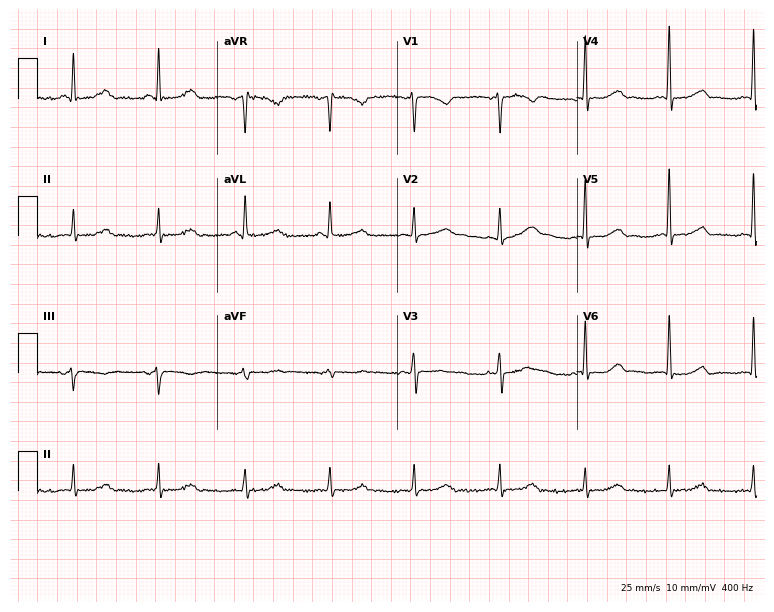
Resting 12-lead electrocardiogram. Patient: a female, 51 years old. None of these six findings is recorded: first-degree AV block, right bundle branch block, left bundle branch block, sinus bradycardia, atrial fibrillation, sinus tachycardia. Other findings, if any, are not listed.